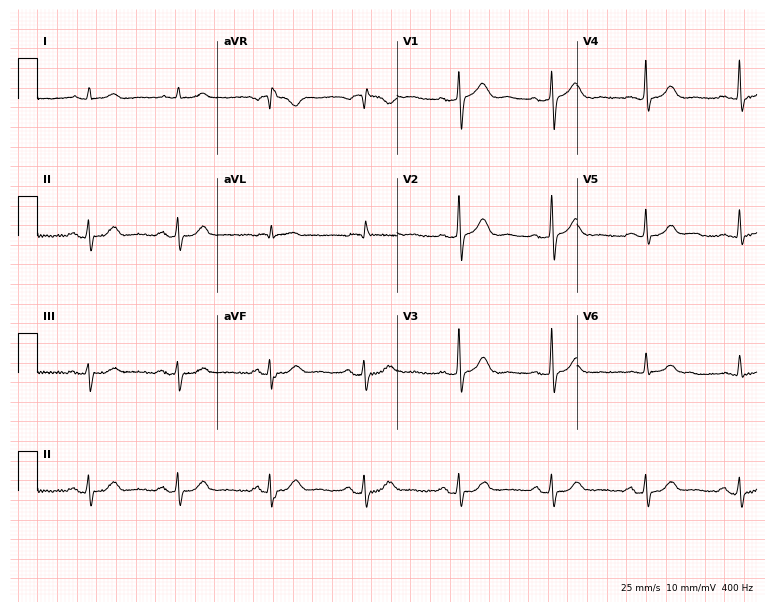
Resting 12-lead electrocardiogram. Patient: an 83-year-old male. Read as a normal ECG.